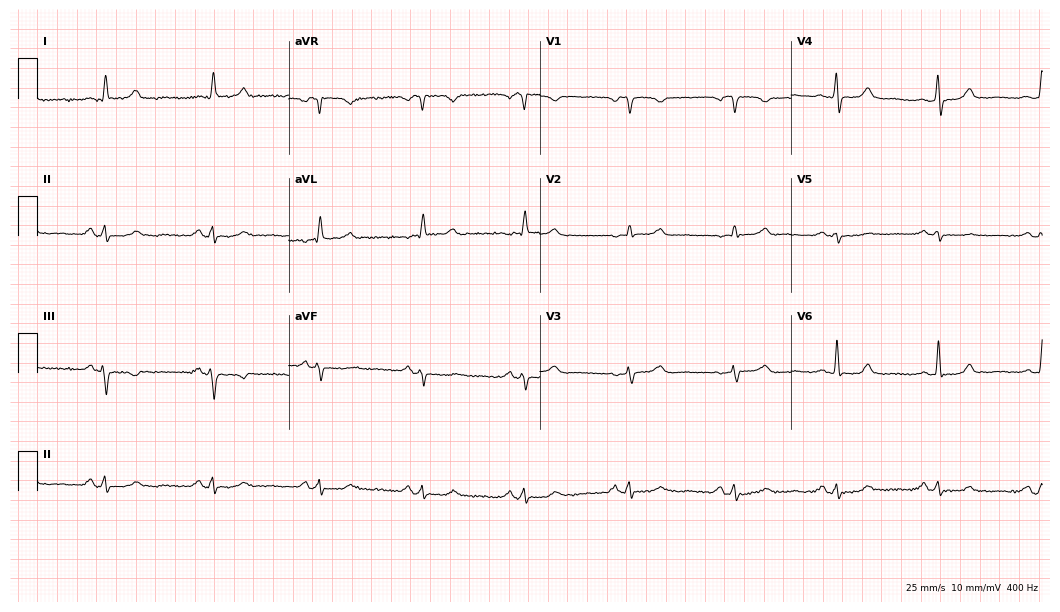
Standard 12-lead ECG recorded from a female, 74 years old (10.2-second recording at 400 Hz). Read as a normal ECG.